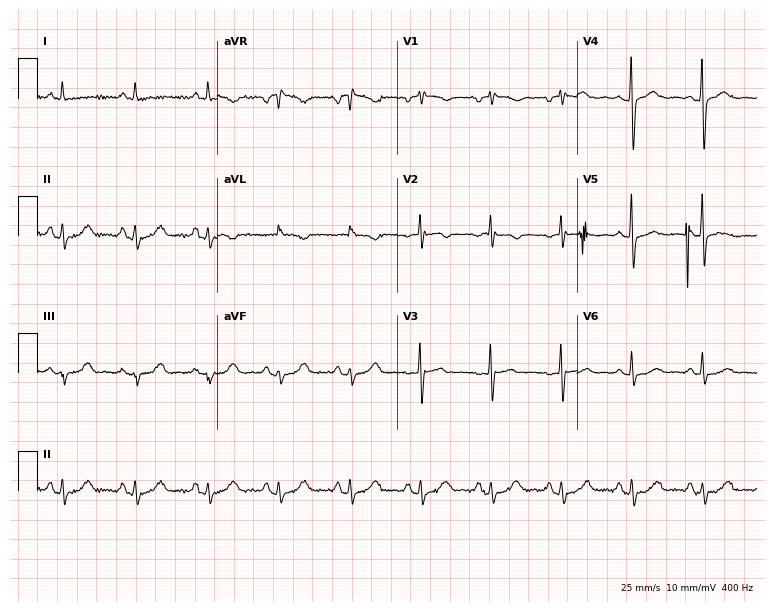
12-lead ECG from a 67-year-old female. No first-degree AV block, right bundle branch block (RBBB), left bundle branch block (LBBB), sinus bradycardia, atrial fibrillation (AF) or sinus tachycardia recorded for this tracing.